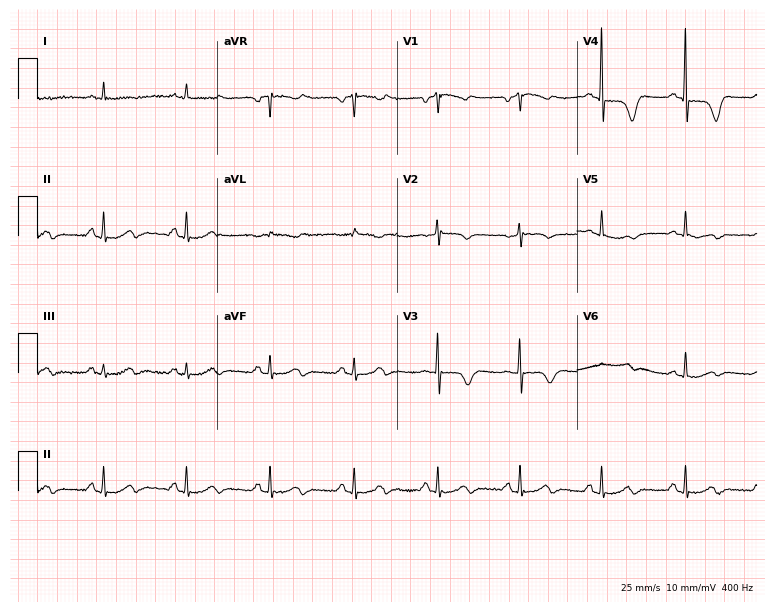
Resting 12-lead electrocardiogram (7.3-second recording at 400 Hz). Patient: an 83-year-old female. None of these six findings is recorded: first-degree AV block, right bundle branch block, left bundle branch block, sinus bradycardia, atrial fibrillation, sinus tachycardia.